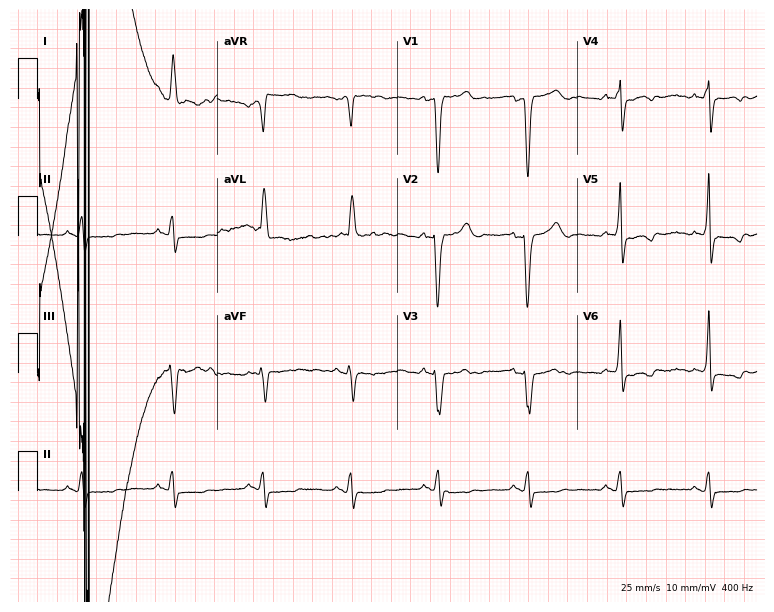
Electrocardiogram, a female patient, 60 years old. Of the six screened findings (first-degree AV block, right bundle branch block, left bundle branch block, sinus bradycardia, atrial fibrillation, sinus tachycardia), none is recorded. Only these six findings were labelled.